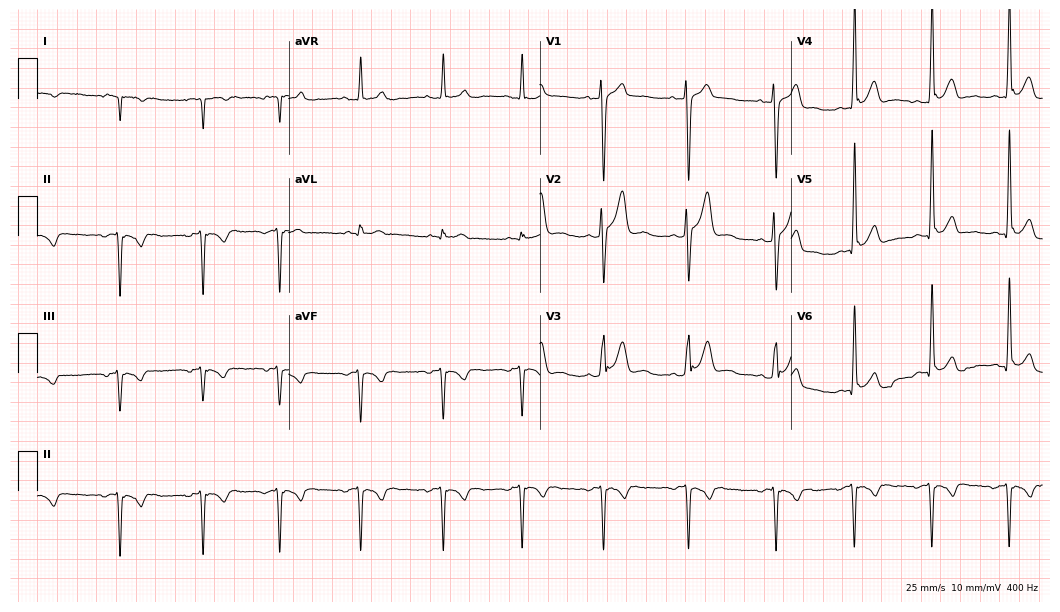
ECG — a male patient, 23 years old. Screened for six findings — first-degree AV block, right bundle branch block, left bundle branch block, sinus bradycardia, atrial fibrillation, sinus tachycardia — none is recorded.